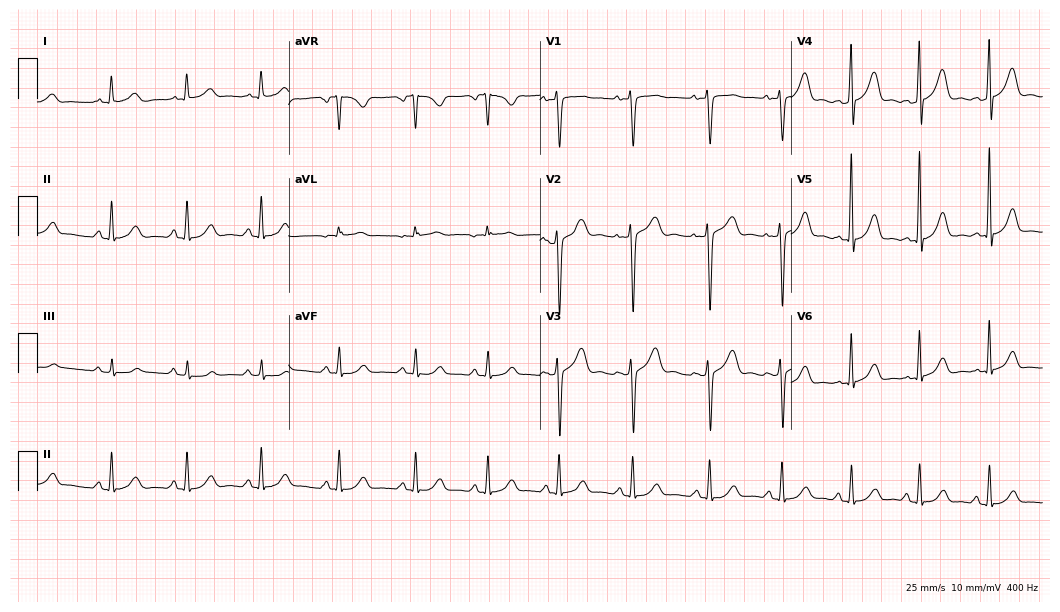
12-lead ECG from a 31-year-old female patient (10.2-second recording at 400 Hz). No first-degree AV block, right bundle branch block (RBBB), left bundle branch block (LBBB), sinus bradycardia, atrial fibrillation (AF) or sinus tachycardia recorded for this tracing. Other findings, if any, are not listed.